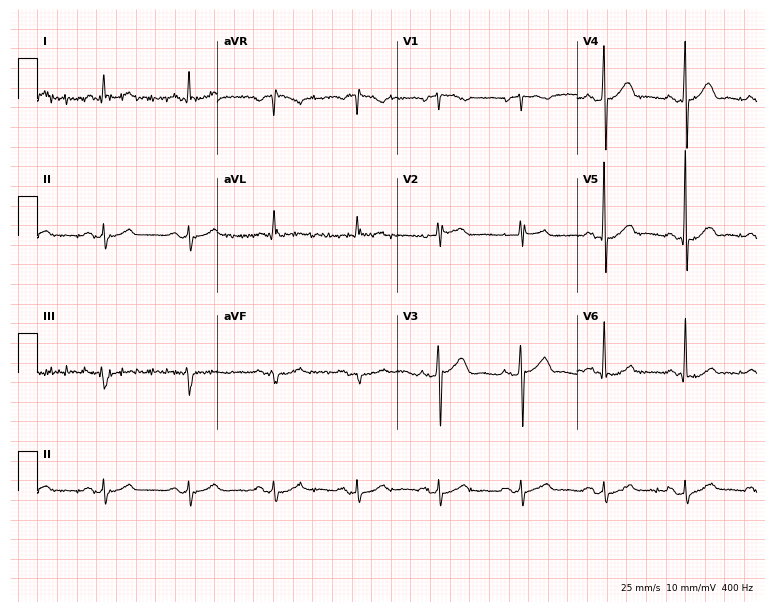
ECG (7.3-second recording at 400 Hz) — a 67-year-old male patient. Screened for six findings — first-degree AV block, right bundle branch block (RBBB), left bundle branch block (LBBB), sinus bradycardia, atrial fibrillation (AF), sinus tachycardia — none is recorded. Findings outside these six are not listed.